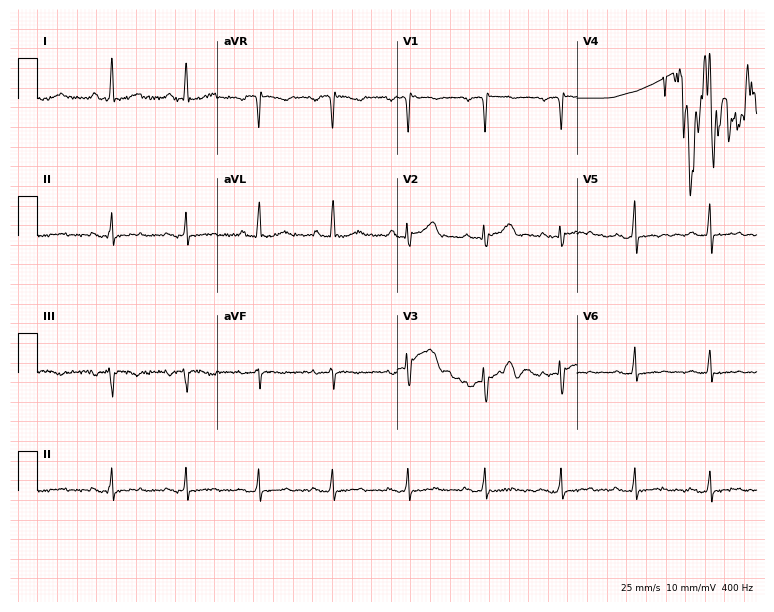
Resting 12-lead electrocardiogram. Patient: a 55-year-old male. None of these six findings is recorded: first-degree AV block, right bundle branch block, left bundle branch block, sinus bradycardia, atrial fibrillation, sinus tachycardia. Other findings, if any, are not listed.